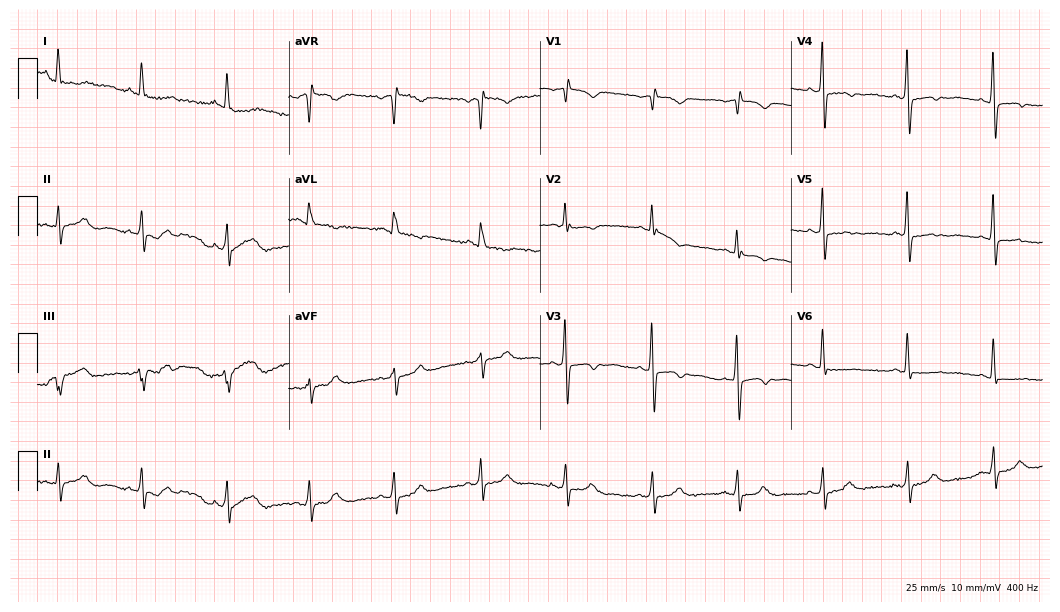
Electrocardiogram, a 65-year-old female. Of the six screened findings (first-degree AV block, right bundle branch block, left bundle branch block, sinus bradycardia, atrial fibrillation, sinus tachycardia), none is recorded.